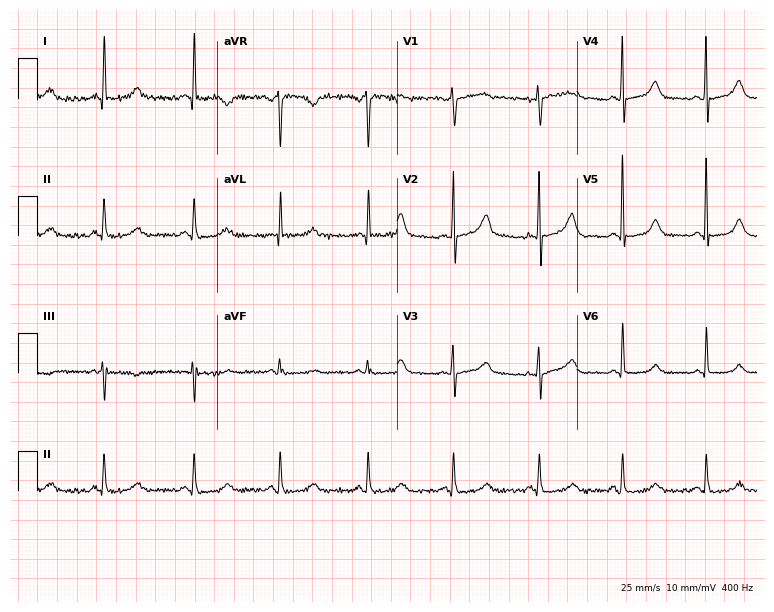
Resting 12-lead electrocardiogram. Patient: a female, 60 years old. Read as a normal ECG.